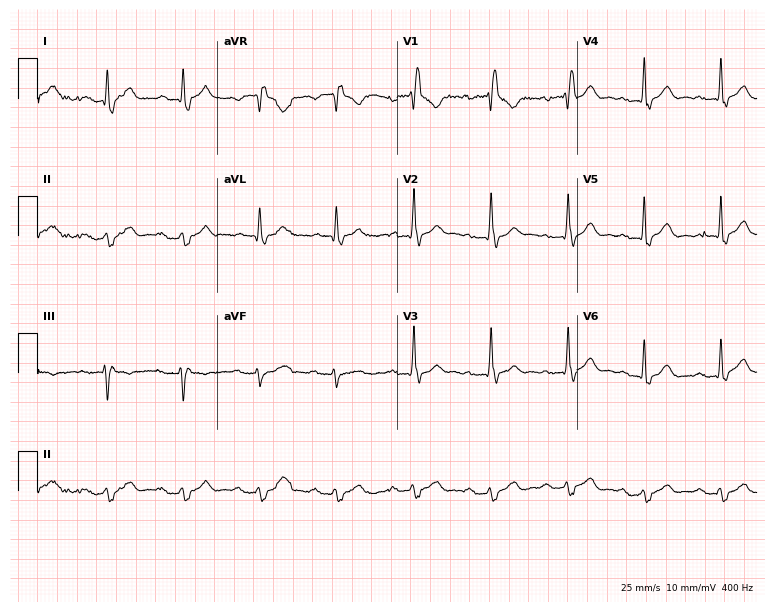
Resting 12-lead electrocardiogram. Patient: a male, 63 years old. None of these six findings is recorded: first-degree AV block, right bundle branch block, left bundle branch block, sinus bradycardia, atrial fibrillation, sinus tachycardia.